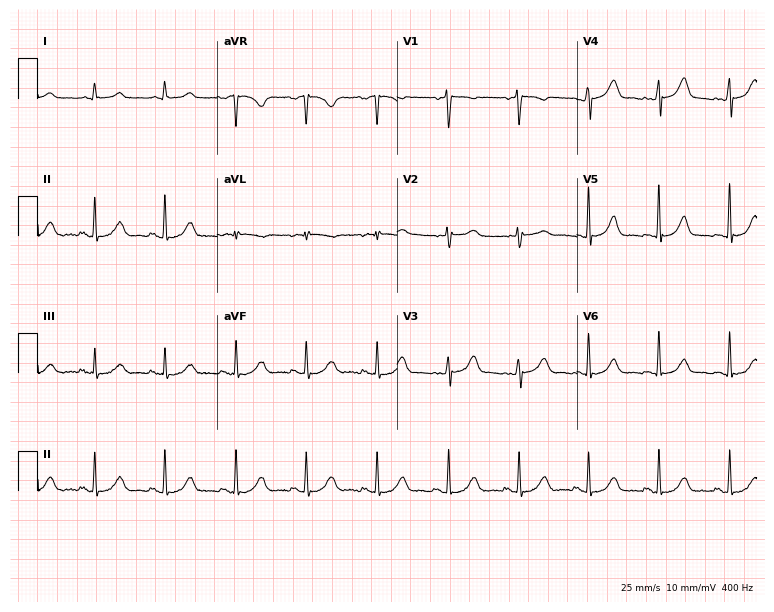
12-lead ECG from a woman, 48 years old. Screened for six findings — first-degree AV block, right bundle branch block, left bundle branch block, sinus bradycardia, atrial fibrillation, sinus tachycardia — none is recorded.